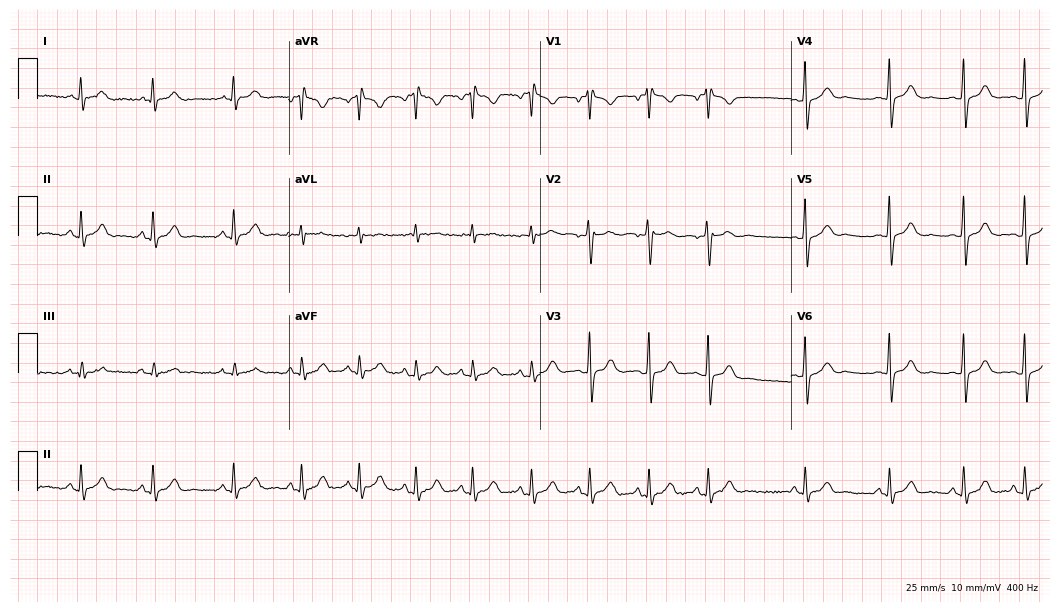
Electrocardiogram, a man, 18 years old. Of the six screened findings (first-degree AV block, right bundle branch block (RBBB), left bundle branch block (LBBB), sinus bradycardia, atrial fibrillation (AF), sinus tachycardia), none is recorded. Other findings, if any, are not listed.